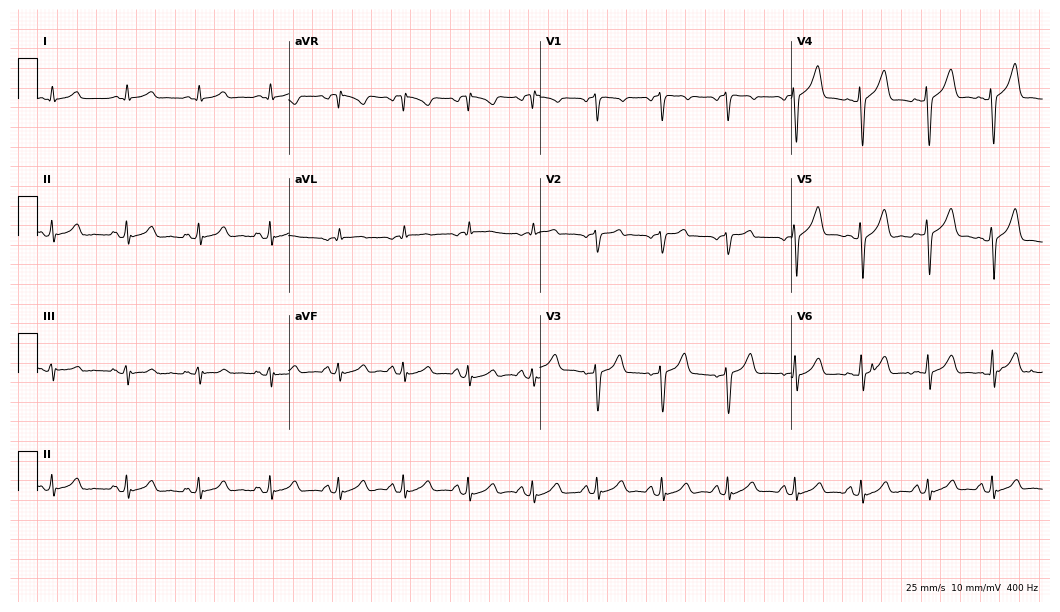
12-lead ECG (10.2-second recording at 400 Hz) from a 47-year-old male. Labelled as a normal ECG.